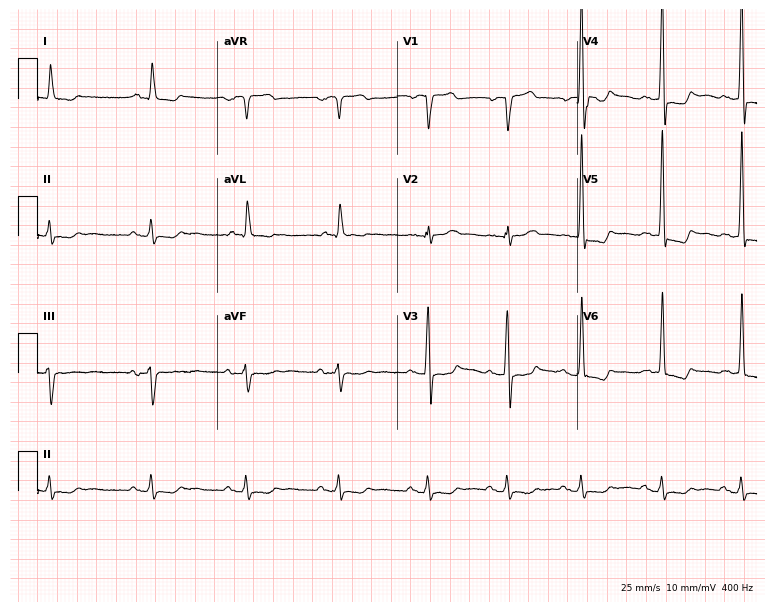
Resting 12-lead electrocardiogram. Patient: a male, 57 years old. None of these six findings is recorded: first-degree AV block, right bundle branch block, left bundle branch block, sinus bradycardia, atrial fibrillation, sinus tachycardia.